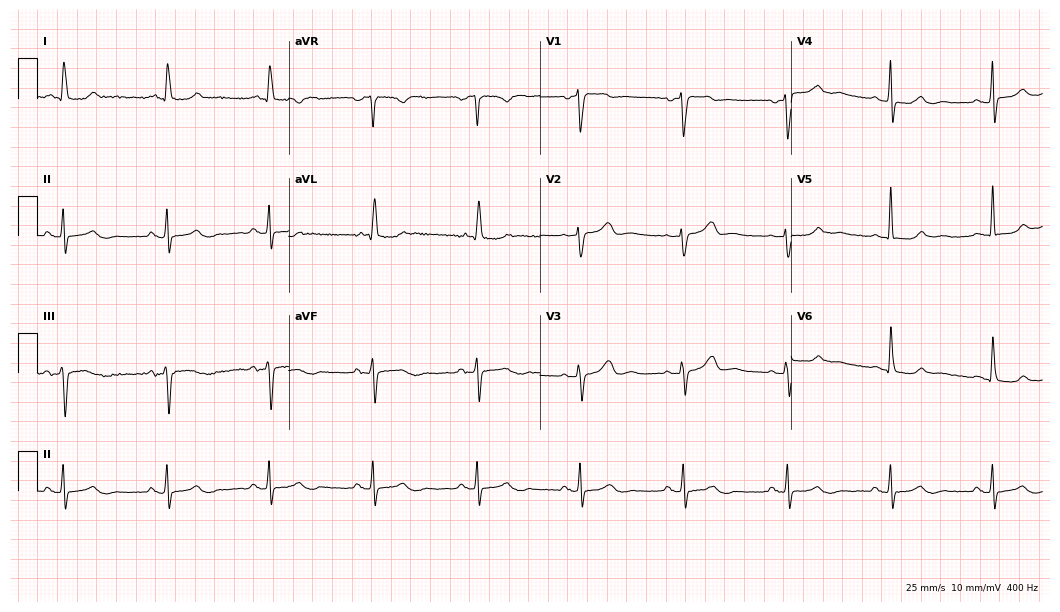
Resting 12-lead electrocardiogram. Patient: a female, 73 years old. None of these six findings is recorded: first-degree AV block, right bundle branch block (RBBB), left bundle branch block (LBBB), sinus bradycardia, atrial fibrillation (AF), sinus tachycardia.